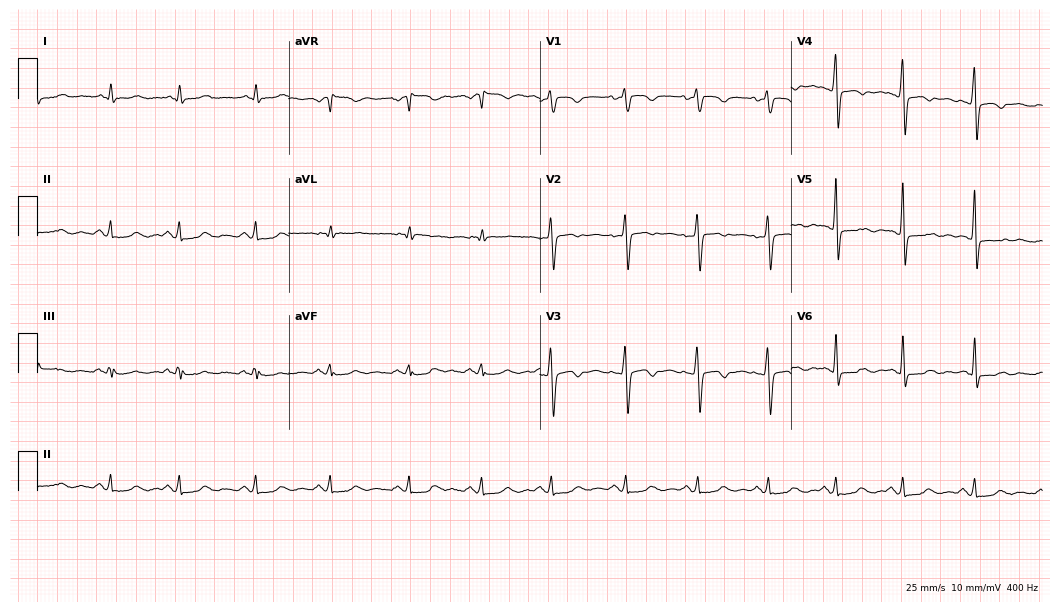
12-lead ECG from a female patient, 33 years old (10.2-second recording at 400 Hz). No first-degree AV block, right bundle branch block (RBBB), left bundle branch block (LBBB), sinus bradycardia, atrial fibrillation (AF) or sinus tachycardia recorded for this tracing.